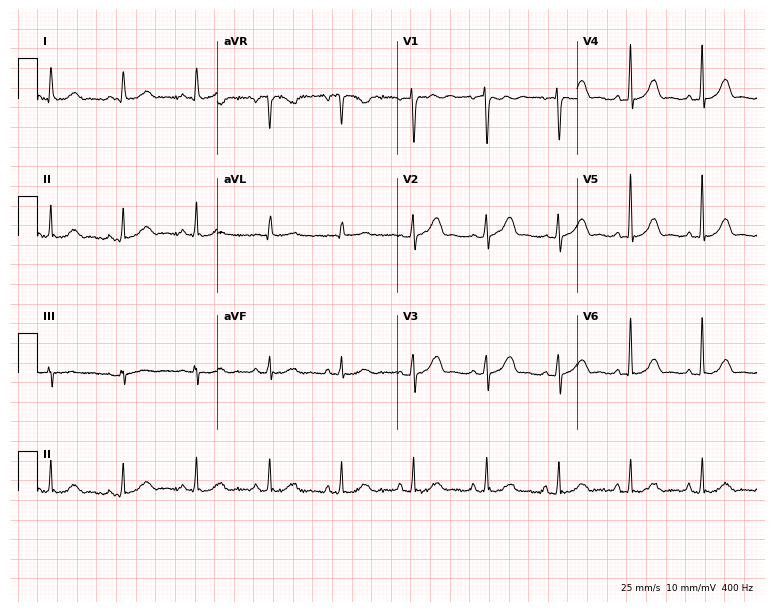
ECG — a 61-year-old woman. Labelled as a normal ECG.